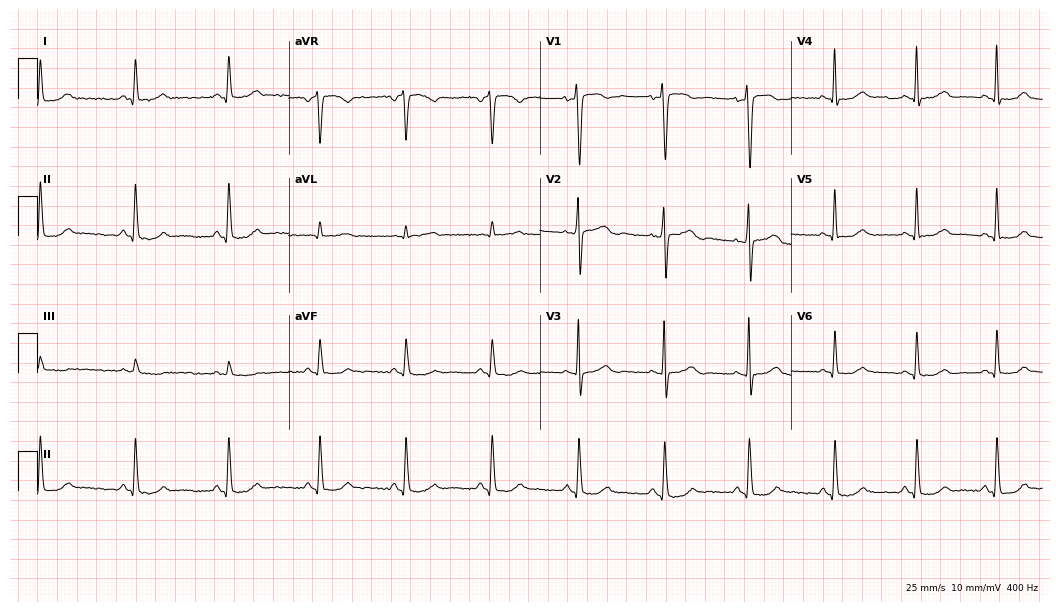
12-lead ECG from a female, 51 years old (10.2-second recording at 400 Hz). Recorded interpretation: within normal limits.